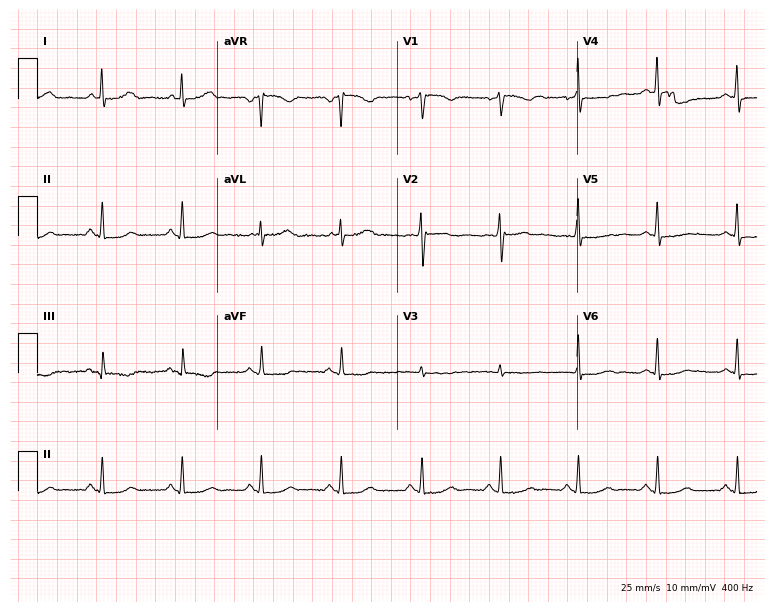
ECG (7.3-second recording at 400 Hz) — a 53-year-old woman. Screened for six findings — first-degree AV block, right bundle branch block (RBBB), left bundle branch block (LBBB), sinus bradycardia, atrial fibrillation (AF), sinus tachycardia — none is recorded. Other findings, if any, are not listed.